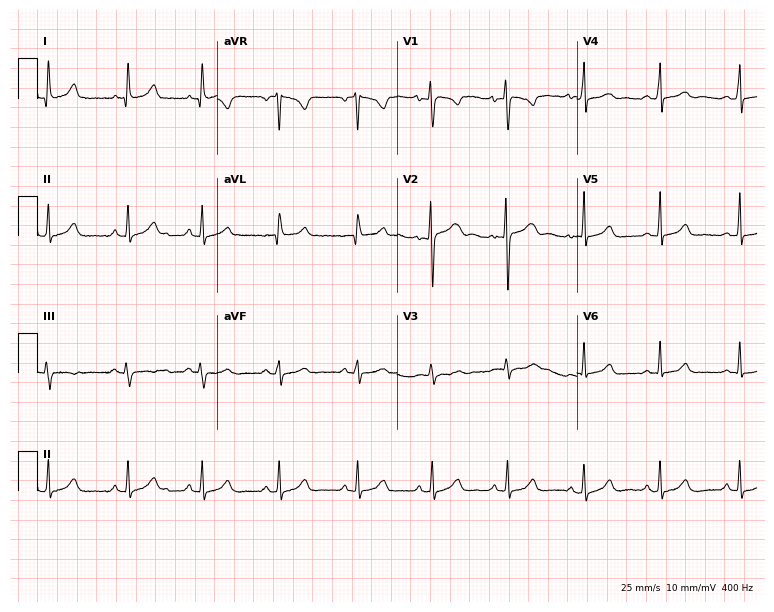
Standard 12-lead ECG recorded from a female, 21 years old. None of these six findings is recorded: first-degree AV block, right bundle branch block, left bundle branch block, sinus bradycardia, atrial fibrillation, sinus tachycardia.